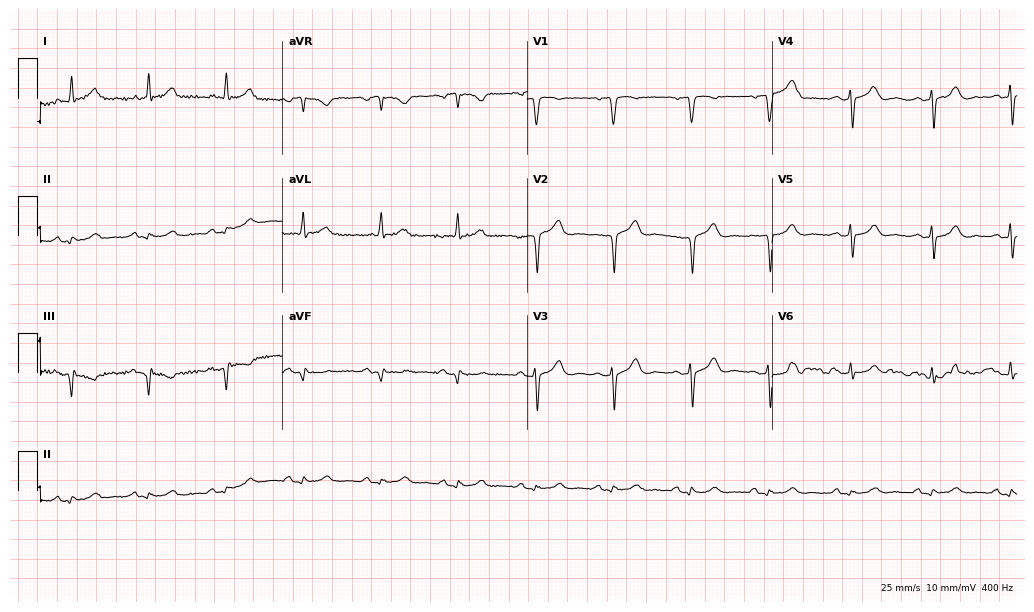
Electrocardiogram (10-second recording at 400 Hz), an 85-year-old male. Of the six screened findings (first-degree AV block, right bundle branch block, left bundle branch block, sinus bradycardia, atrial fibrillation, sinus tachycardia), none is recorded. Other findings, if any, are not listed.